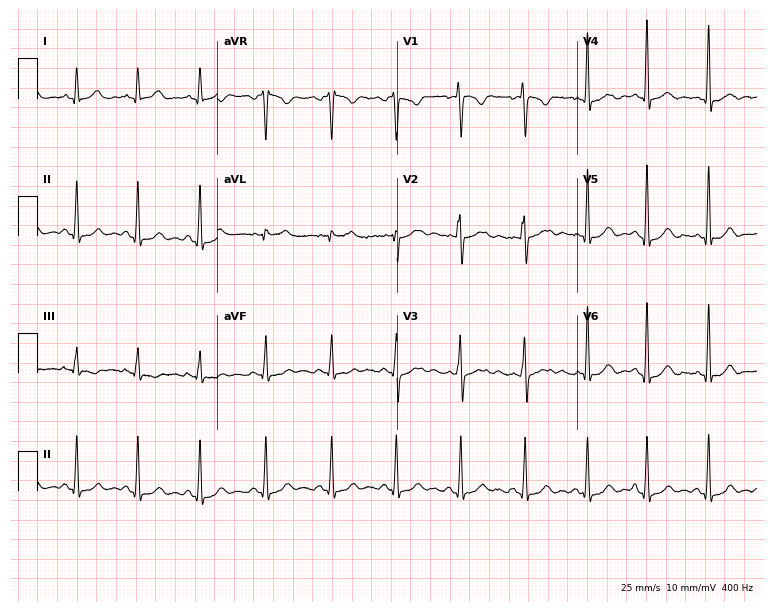
Standard 12-lead ECG recorded from a female, 20 years old. None of these six findings is recorded: first-degree AV block, right bundle branch block (RBBB), left bundle branch block (LBBB), sinus bradycardia, atrial fibrillation (AF), sinus tachycardia. Other findings, if any, are not listed.